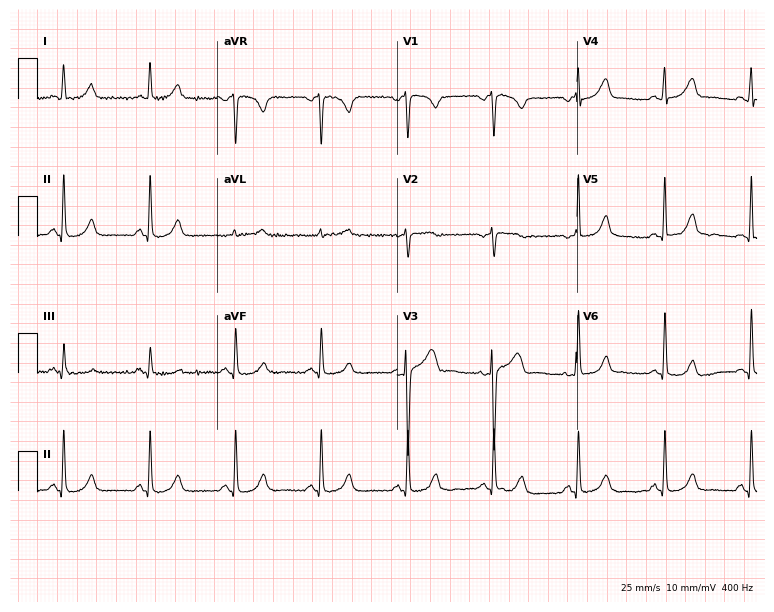
ECG (7.3-second recording at 400 Hz) — a 43-year-old female. Labelled as a normal ECG.